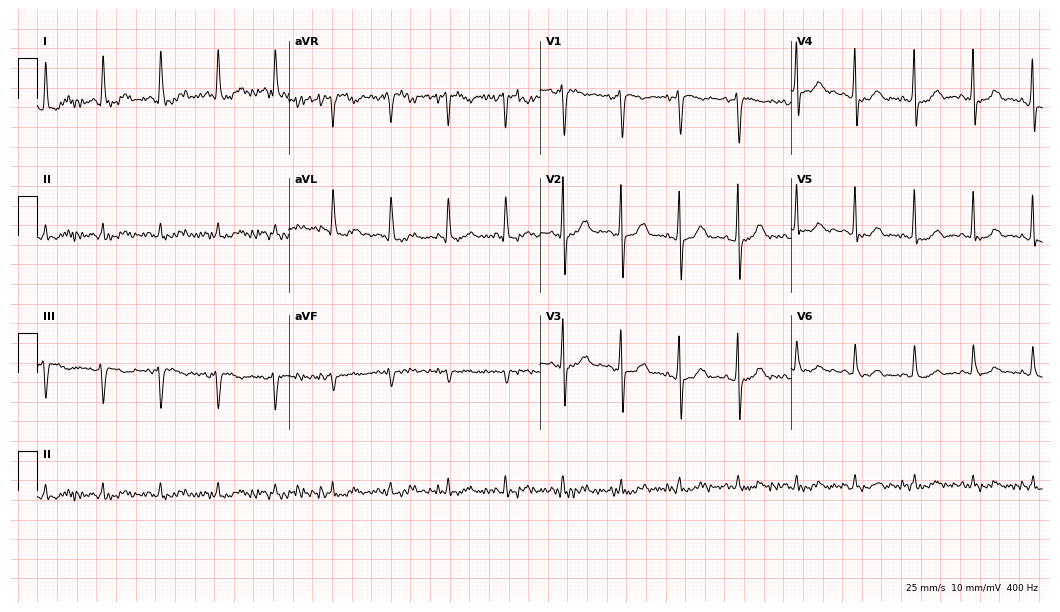
Standard 12-lead ECG recorded from a man, 64 years old (10.2-second recording at 400 Hz). None of these six findings is recorded: first-degree AV block, right bundle branch block, left bundle branch block, sinus bradycardia, atrial fibrillation, sinus tachycardia.